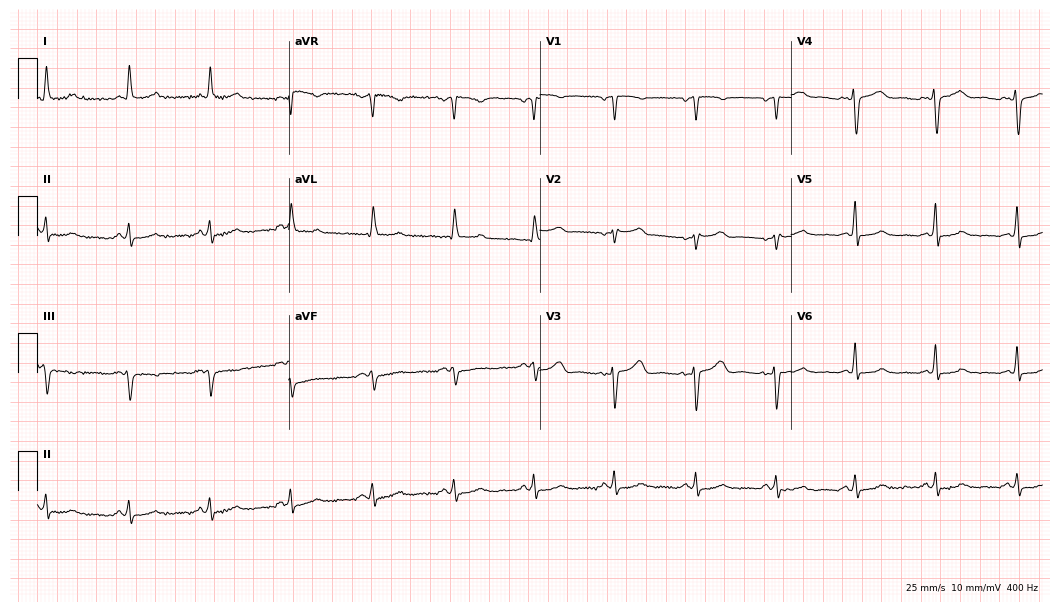
Standard 12-lead ECG recorded from a 42-year-old woman. None of these six findings is recorded: first-degree AV block, right bundle branch block (RBBB), left bundle branch block (LBBB), sinus bradycardia, atrial fibrillation (AF), sinus tachycardia. Only these six findings were labelled.